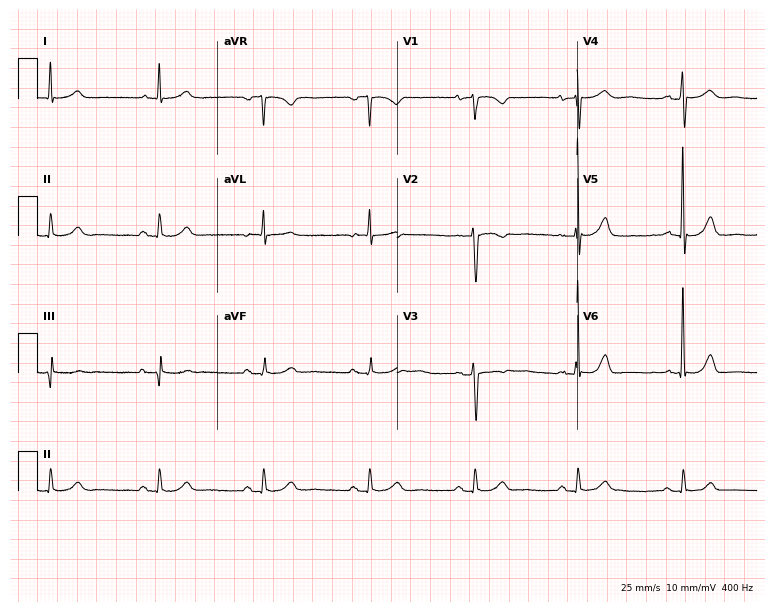
12-lead ECG from a 66-year-old female. Recorded interpretation: within normal limits.